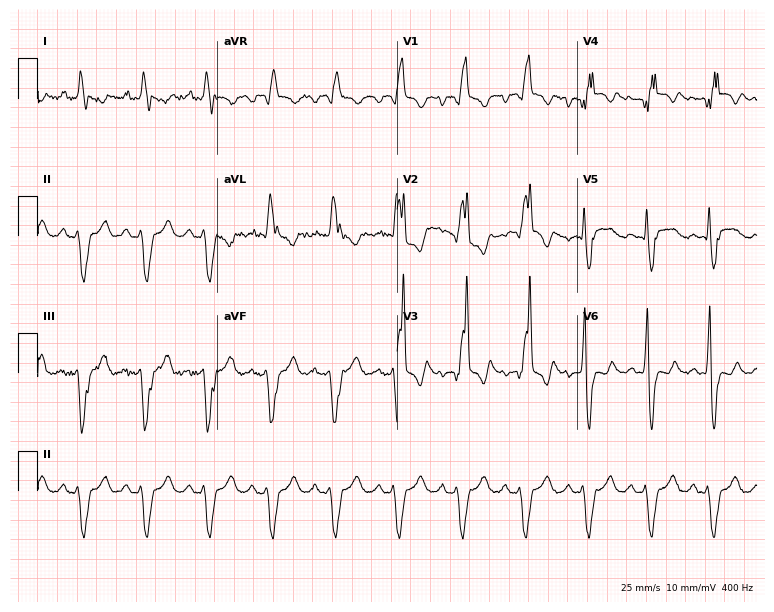
Resting 12-lead electrocardiogram. Patient: a 42-year-old male. The tracing shows right bundle branch block (RBBB).